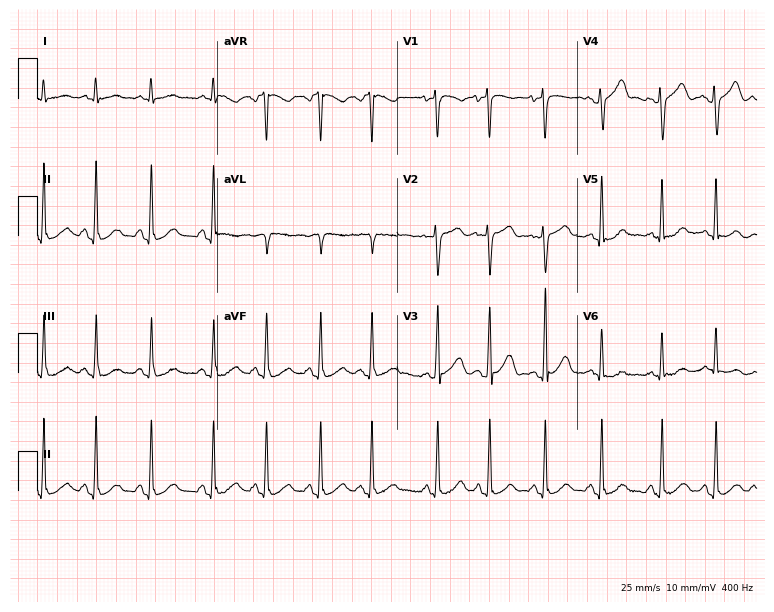
ECG — a female patient, 74 years old. Findings include sinus tachycardia (a sinus rate of 100 beats per minute or more).